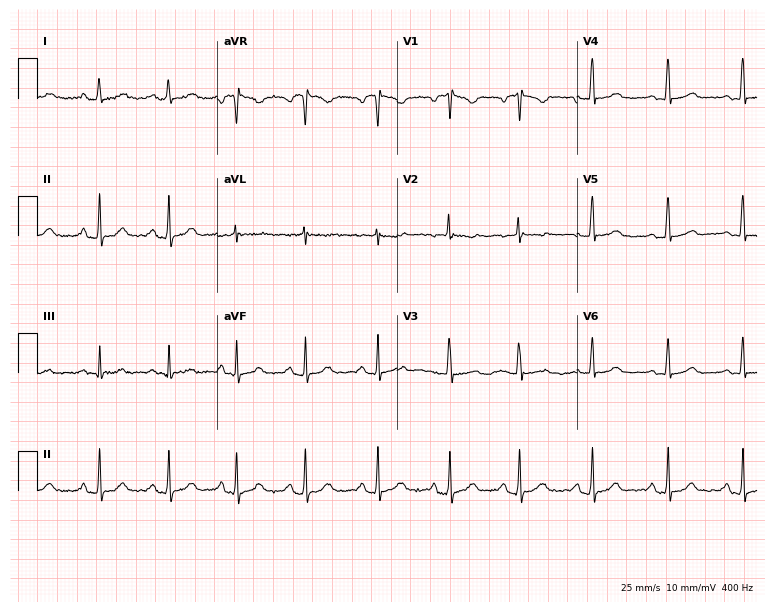
12-lead ECG from a 37-year-old female. Screened for six findings — first-degree AV block, right bundle branch block (RBBB), left bundle branch block (LBBB), sinus bradycardia, atrial fibrillation (AF), sinus tachycardia — none is recorded. Other findings, if any, are not listed.